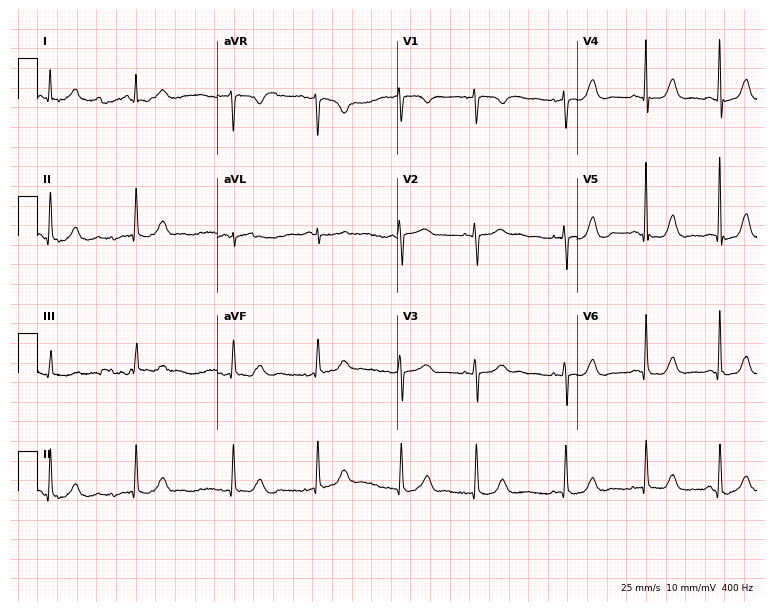
Standard 12-lead ECG recorded from a 70-year-old female patient (7.3-second recording at 400 Hz). Read as a normal ECG.